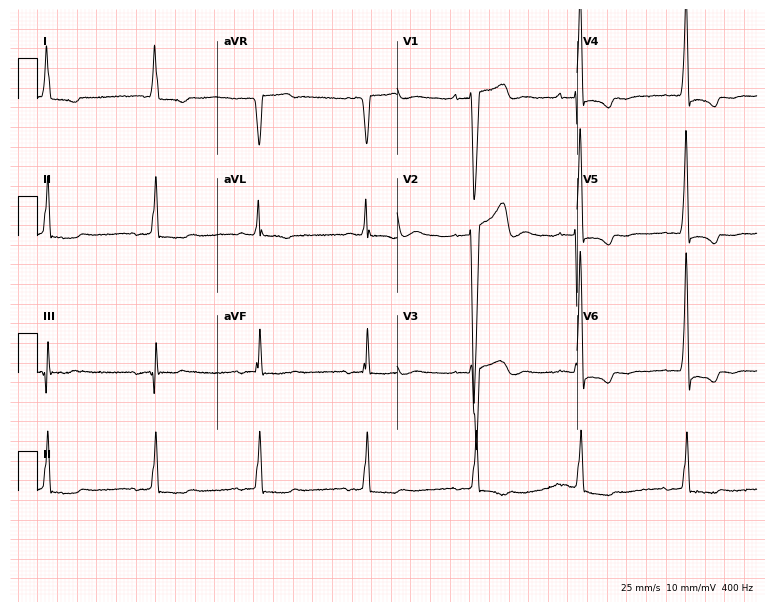
Electrocardiogram (7.3-second recording at 400 Hz), a male patient, 75 years old. Of the six screened findings (first-degree AV block, right bundle branch block, left bundle branch block, sinus bradycardia, atrial fibrillation, sinus tachycardia), none is recorded.